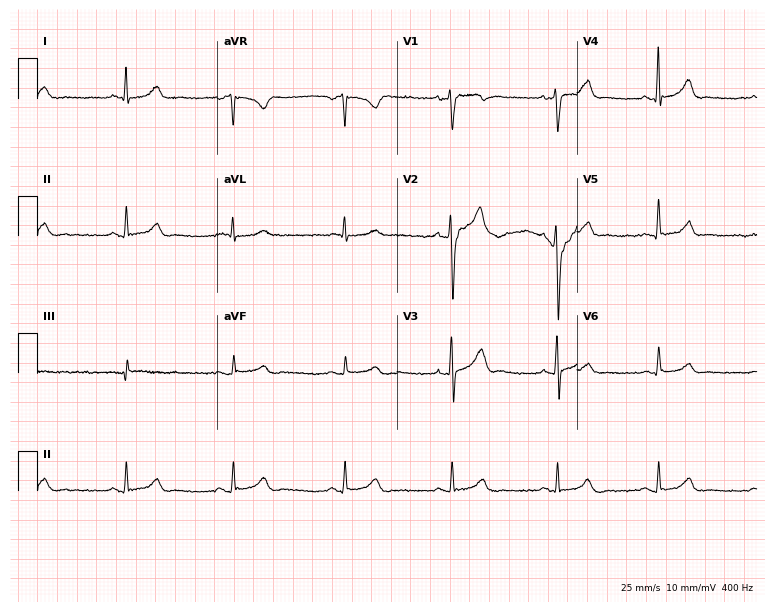
Standard 12-lead ECG recorded from a man, 42 years old (7.3-second recording at 400 Hz). Read as a normal ECG.